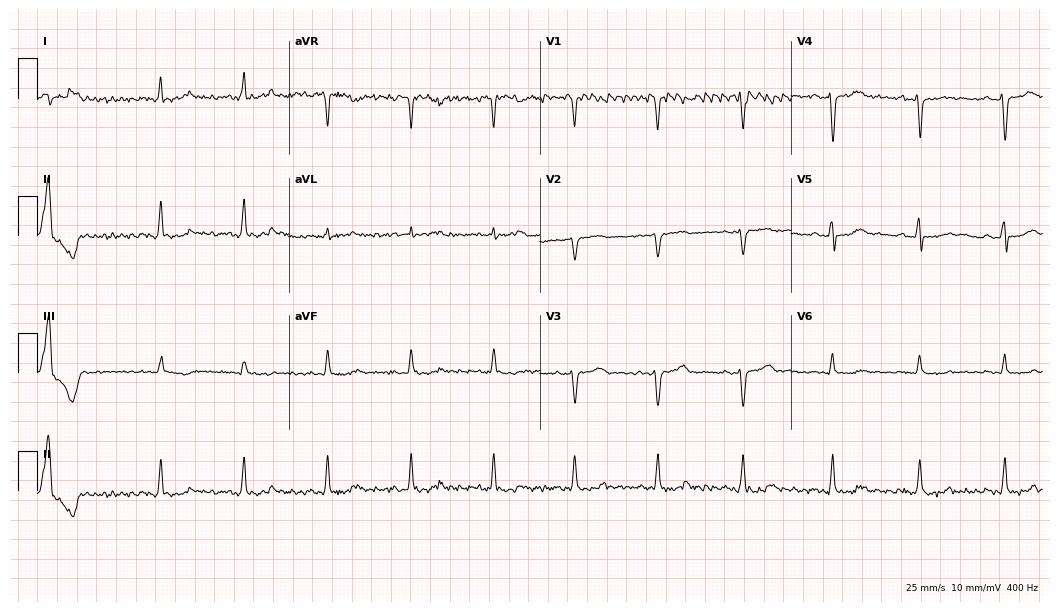
12-lead ECG from a woman, 45 years old (10.2-second recording at 400 Hz). No first-degree AV block, right bundle branch block (RBBB), left bundle branch block (LBBB), sinus bradycardia, atrial fibrillation (AF) or sinus tachycardia recorded for this tracing.